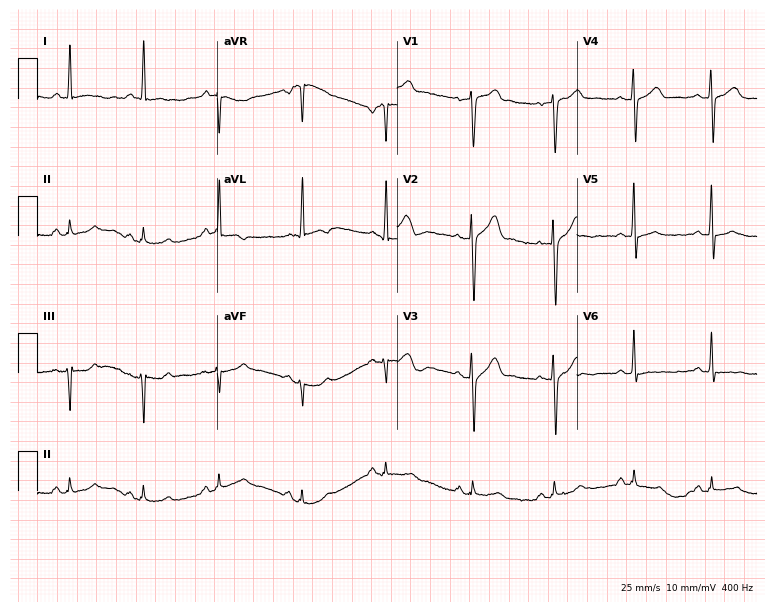
Resting 12-lead electrocardiogram. Patient: a 43-year-old male. None of these six findings is recorded: first-degree AV block, right bundle branch block, left bundle branch block, sinus bradycardia, atrial fibrillation, sinus tachycardia.